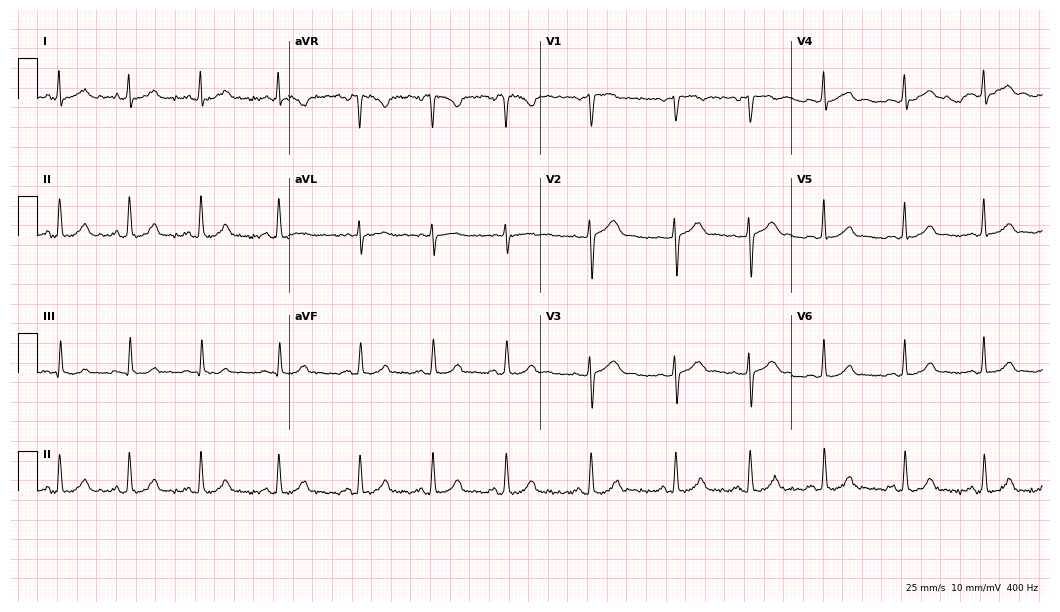
Standard 12-lead ECG recorded from a woman, 24 years old (10.2-second recording at 400 Hz). Read as a normal ECG.